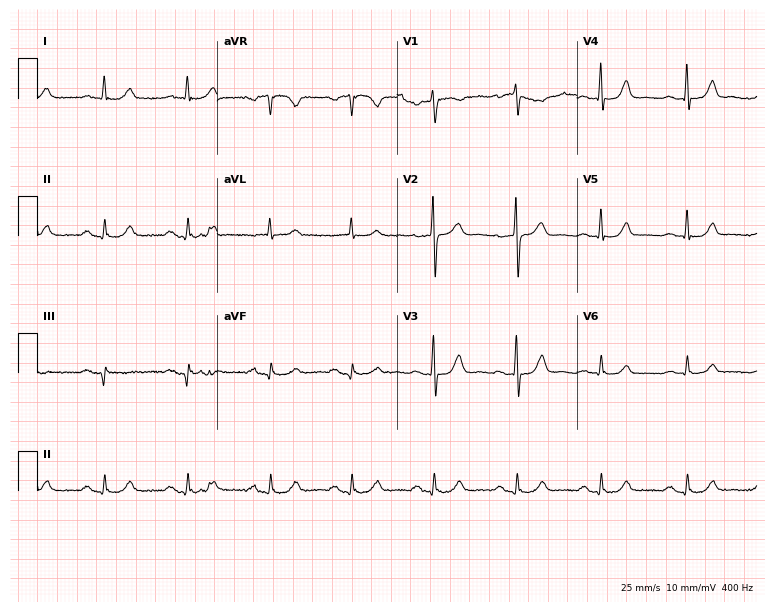
Standard 12-lead ECG recorded from a 74-year-old male patient. Read as a normal ECG.